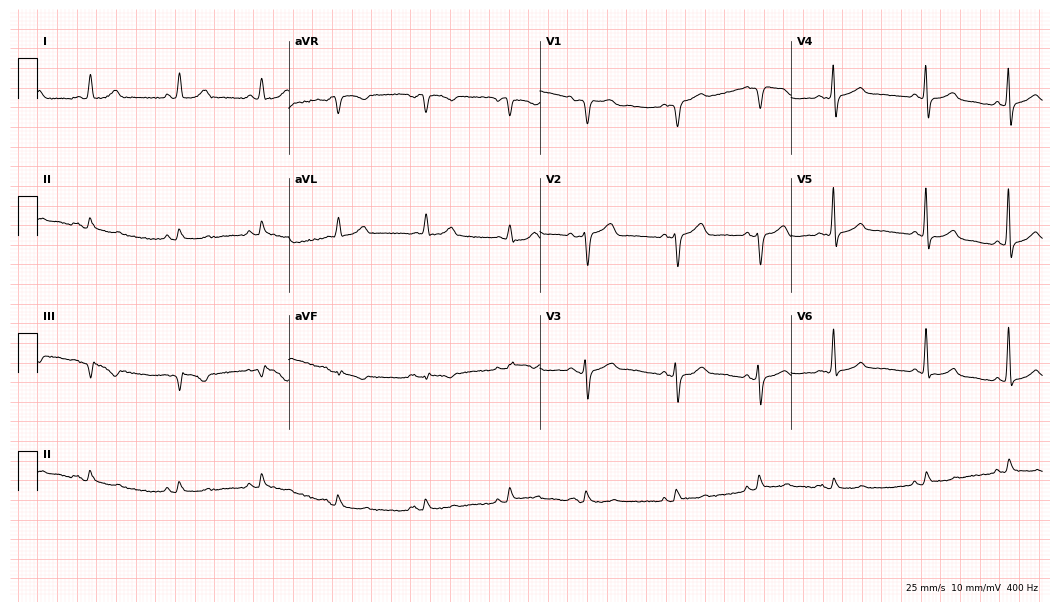
ECG (10.2-second recording at 400 Hz) — a 68-year-old woman. Screened for six findings — first-degree AV block, right bundle branch block, left bundle branch block, sinus bradycardia, atrial fibrillation, sinus tachycardia — none is recorded.